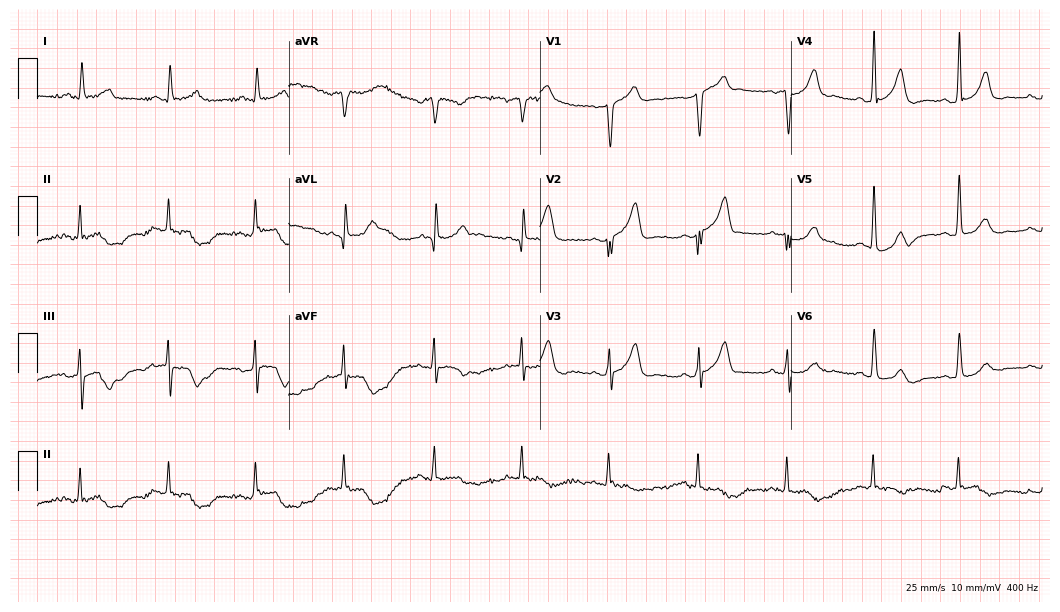
Resting 12-lead electrocardiogram. Patient: a male, 81 years old. Read as a normal ECG.